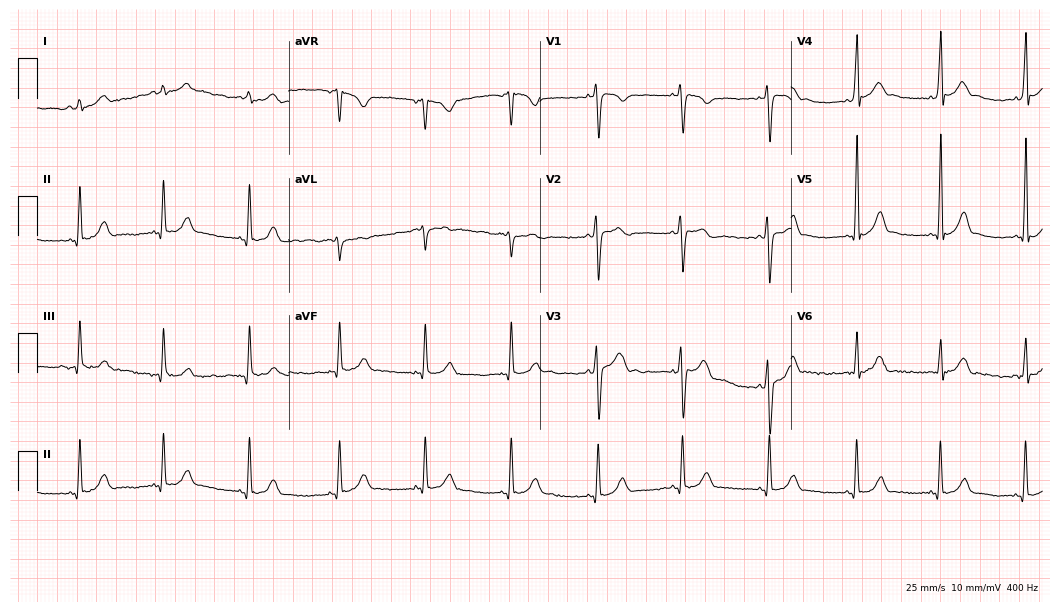
12-lead ECG from a male, 23 years old. No first-degree AV block, right bundle branch block, left bundle branch block, sinus bradycardia, atrial fibrillation or sinus tachycardia recorded for this tracing. Only these six findings were labelled.